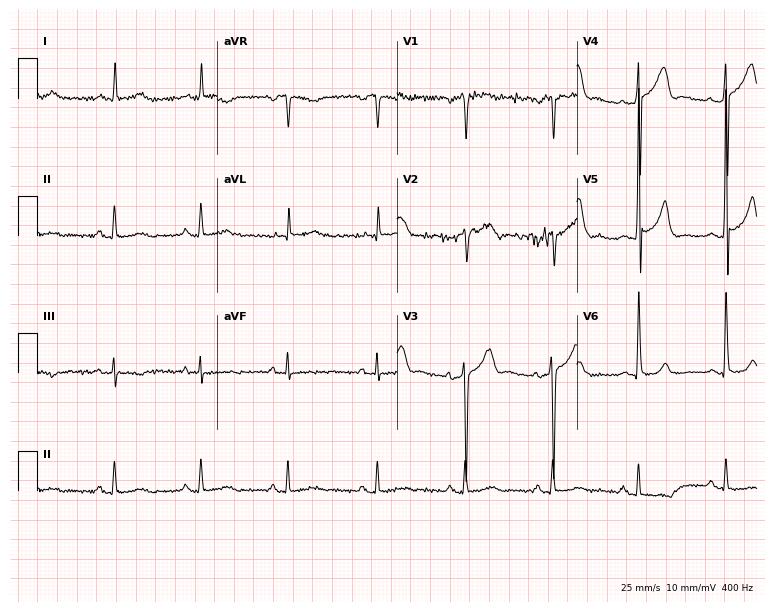
Electrocardiogram, a male patient, 80 years old. Of the six screened findings (first-degree AV block, right bundle branch block, left bundle branch block, sinus bradycardia, atrial fibrillation, sinus tachycardia), none is recorded. Other findings, if any, are not listed.